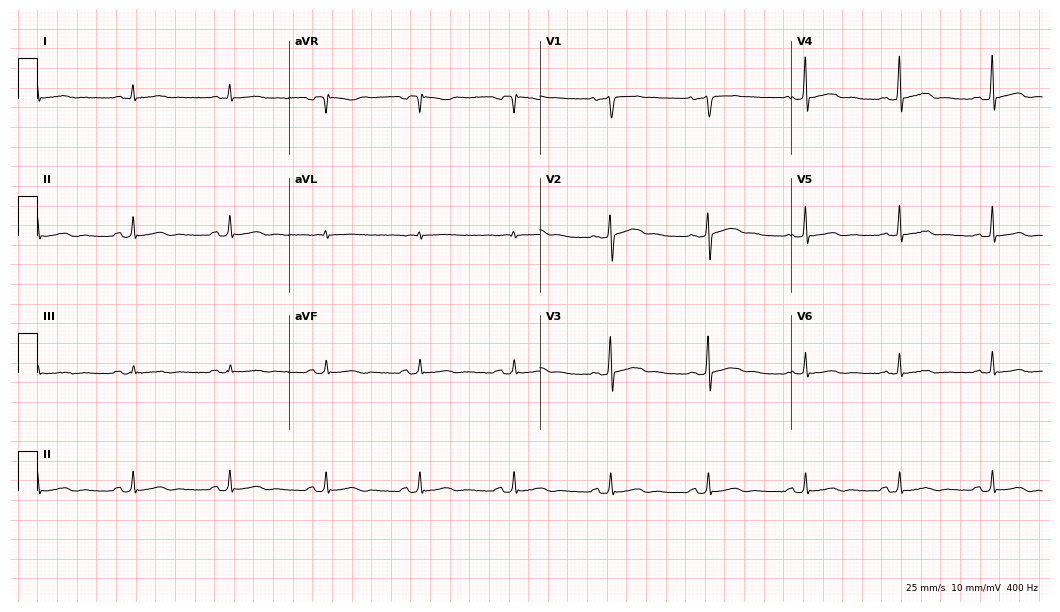
Resting 12-lead electrocardiogram. Patient: a male, 48 years old. Read as a normal ECG.